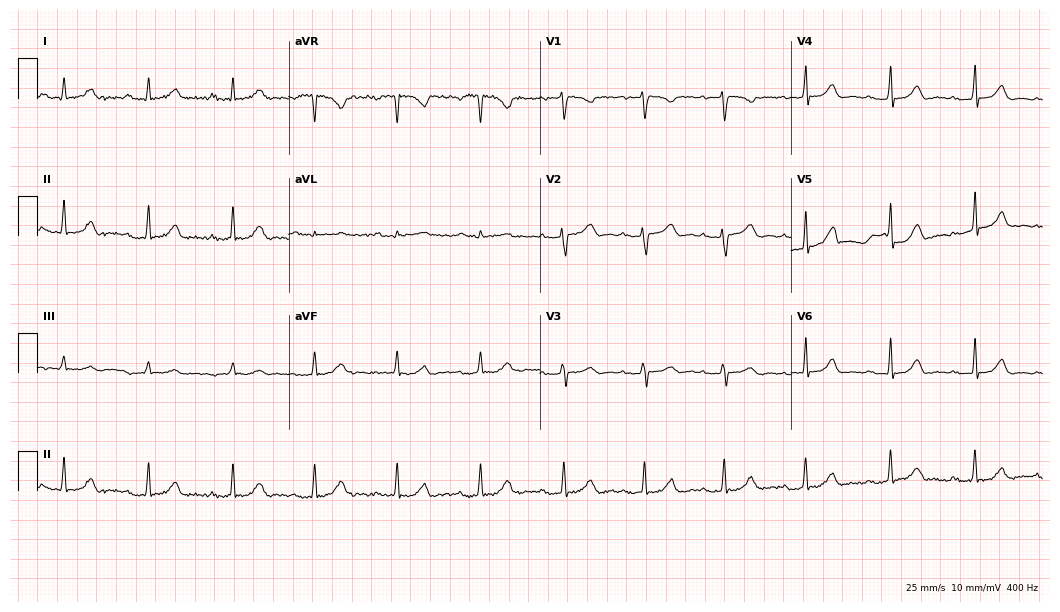
Resting 12-lead electrocardiogram. Patient: a 47-year-old female. The tracing shows first-degree AV block.